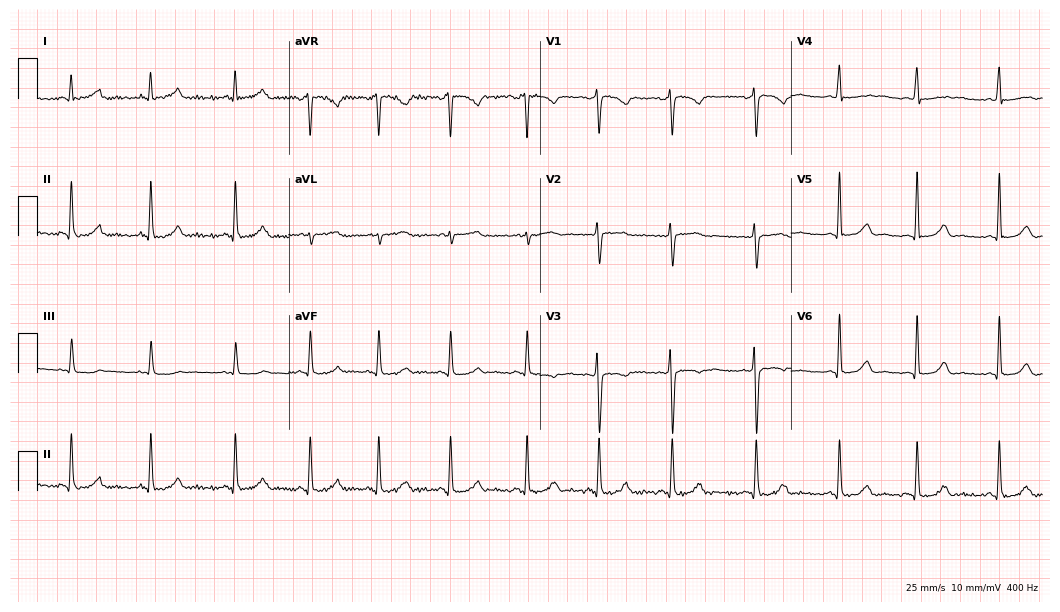
12-lead ECG (10.2-second recording at 400 Hz) from a female patient, 34 years old. Labelled as a normal ECG.